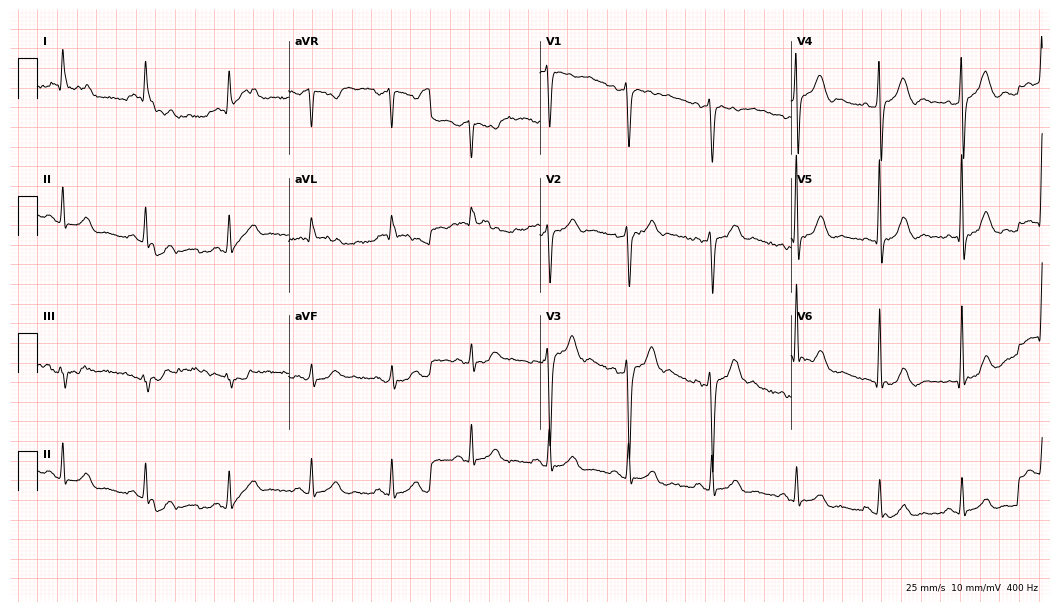
12-lead ECG (10.2-second recording at 400 Hz) from a 54-year-old male patient. Labelled as a normal ECG.